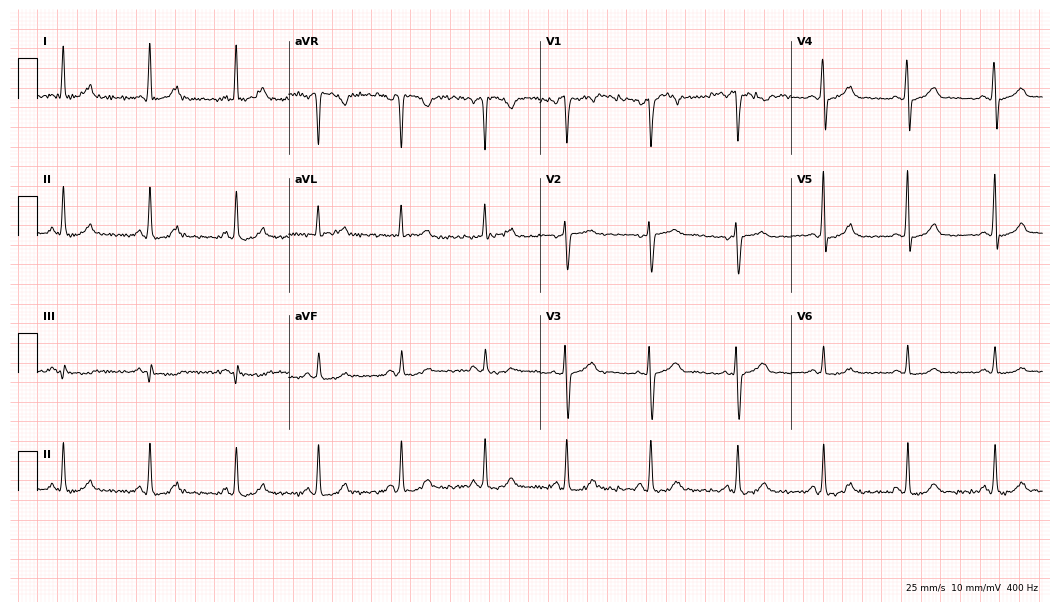
12-lead ECG from a female, 38 years old. Recorded interpretation: within normal limits.